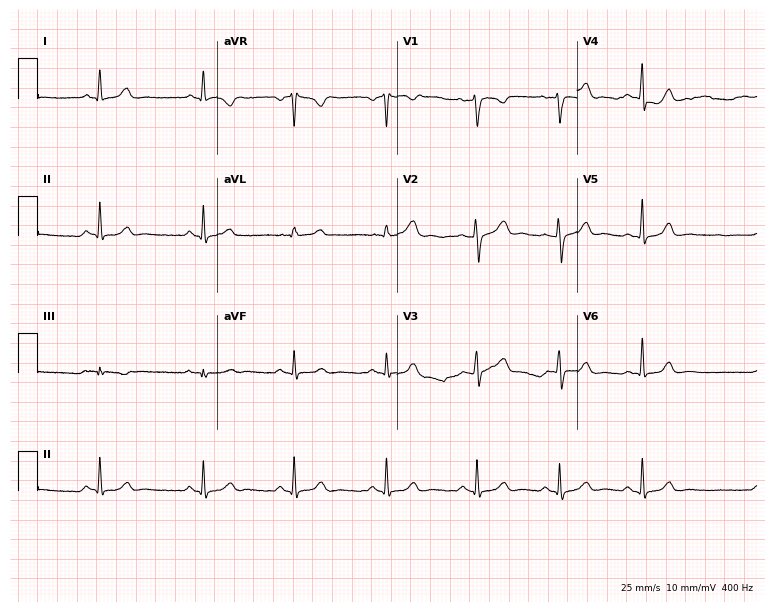
Standard 12-lead ECG recorded from a female, 29 years old. Read as a normal ECG.